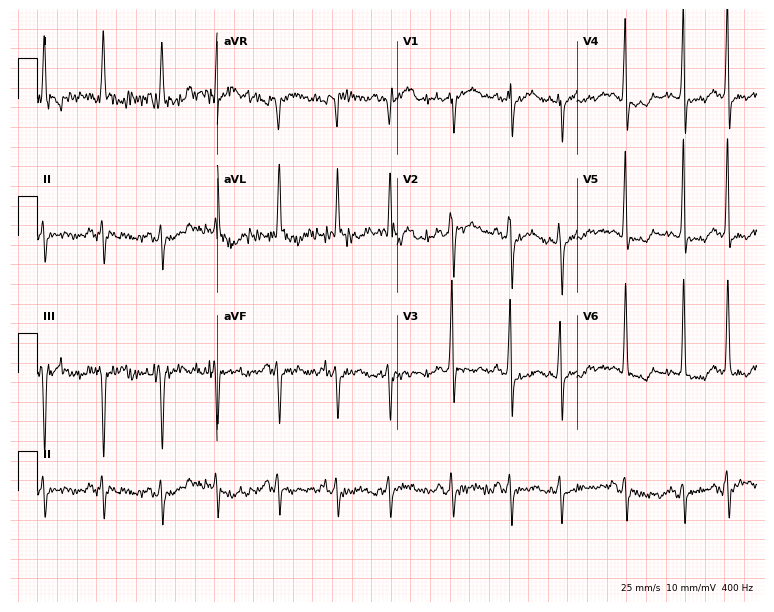
Standard 12-lead ECG recorded from a man, 79 years old (7.3-second recording at 400 Hz). Read as a normal ECG.